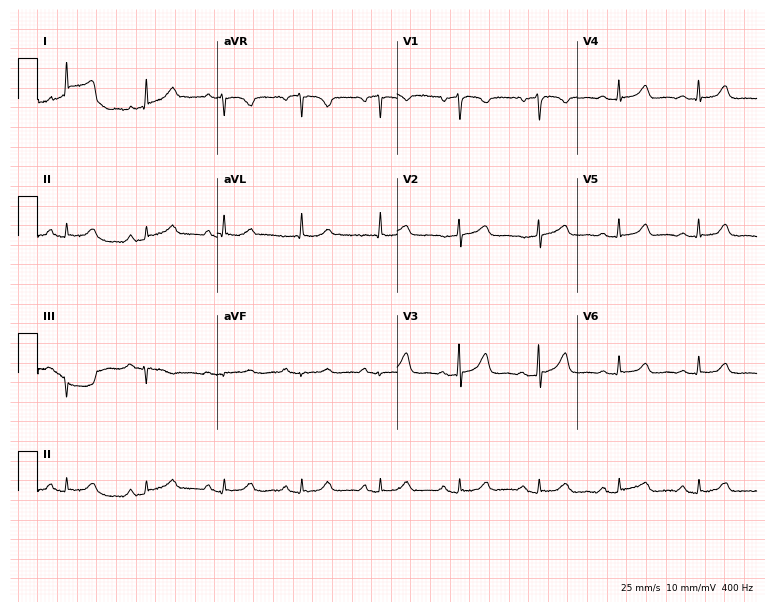
Standard 12-lead ECG recorded from a female, 80 years old. Read as a normal ECG.